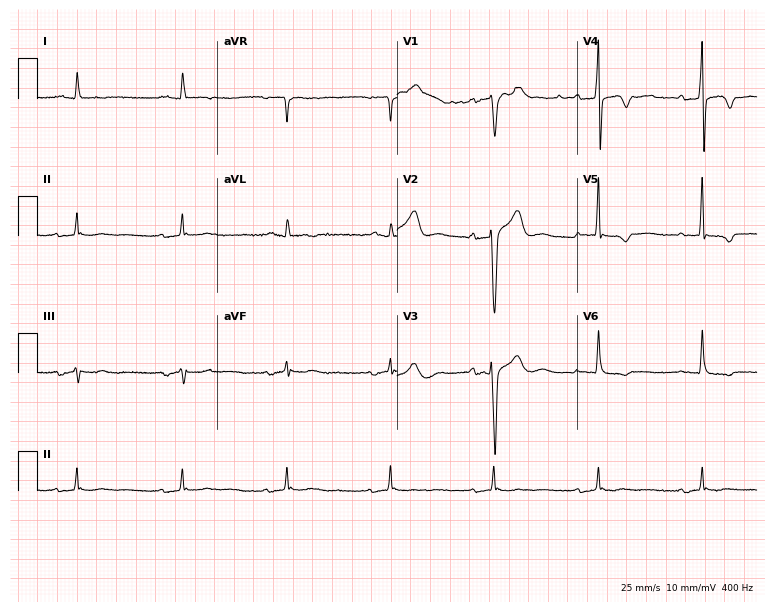
12-lead ECG from a male patient, 75 years old (7.3-second recording at 400 Hz). No first-degree AV block, right bundle branch block (RBBB), left bundle branch block (LBBB), sinus bradycardia, atrial fibrillation (AF) or sinus tachycardia recorded for this tracing. Only these six findings were labelled.